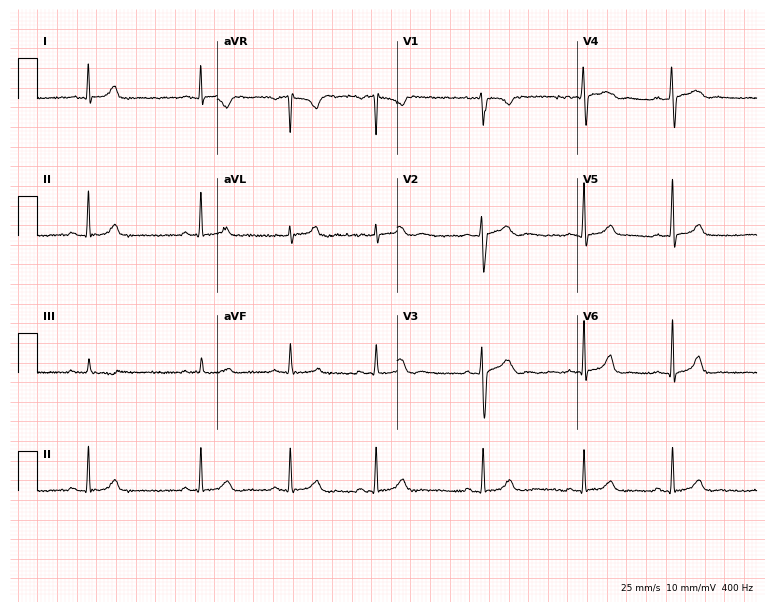
Resting 12-lead electrocardiogram. Patient: a 22-year-old female. None of these six findings is recorded: first-degree AV block, right bundle branch block (RBBB), left bundle branch block (LBBB), sinus bradycardia, atrial fibrillation (AF), sinus tachycardia. Only these six findings were labelled.